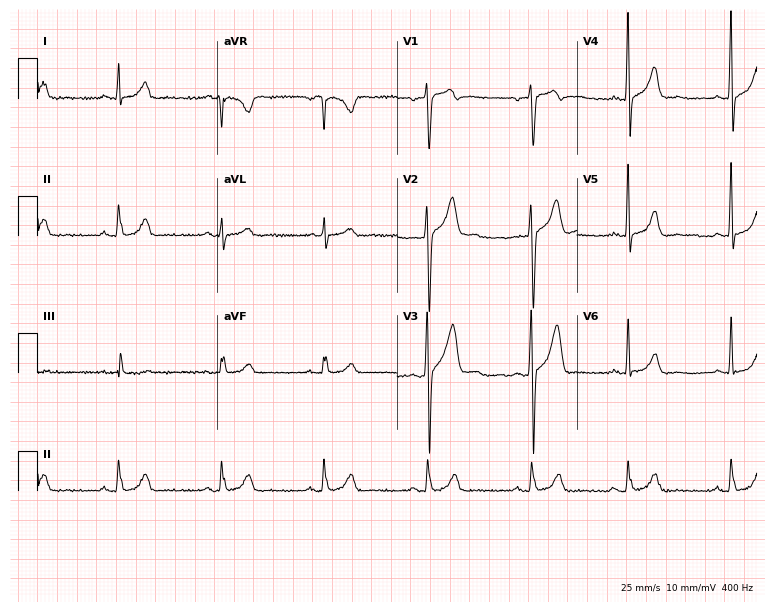
12-lead ECG from a 31-year-old man. Labelled as a normal ECG.